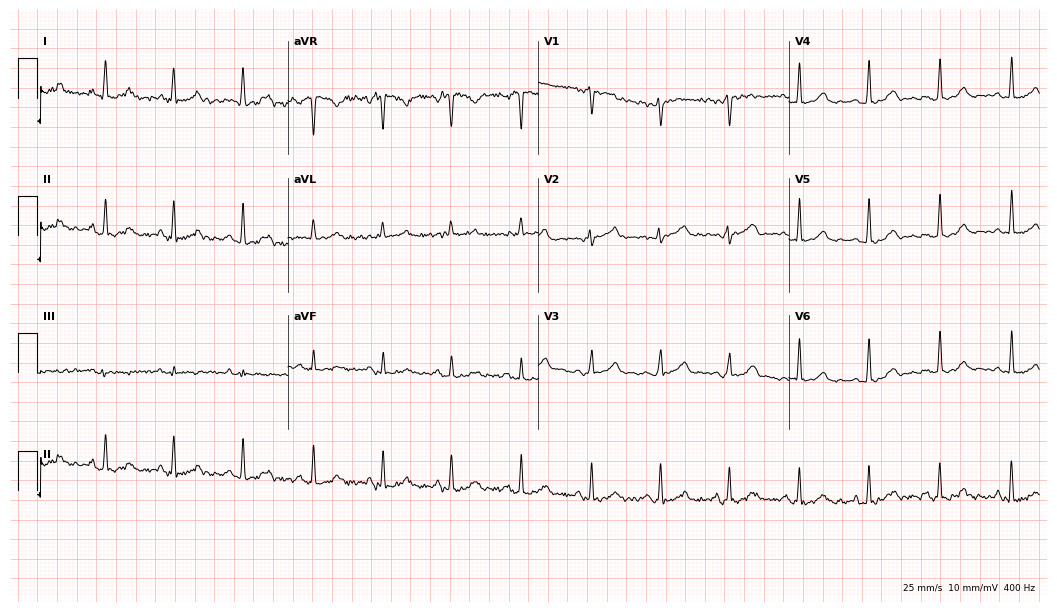
Electrocardiogram (10.2-second recording at 400 Hz), a female patient, 38 years old. Overall reading on record: normal ECG.